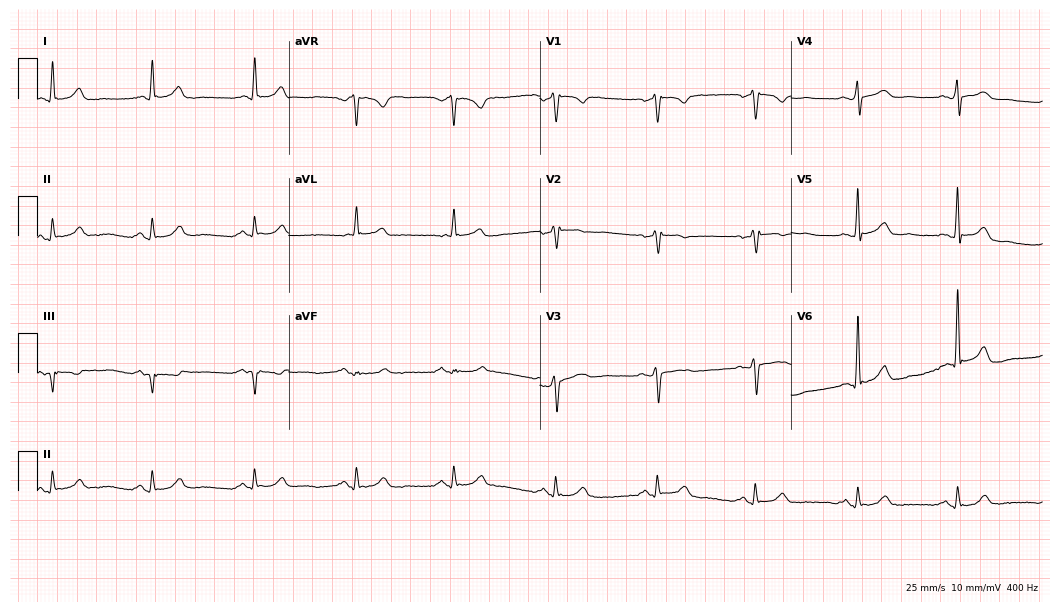
12-lead ECG from a 59-year-old male (10.2-second recording at 400 Hz). Recorded interpretation: within normal limits.